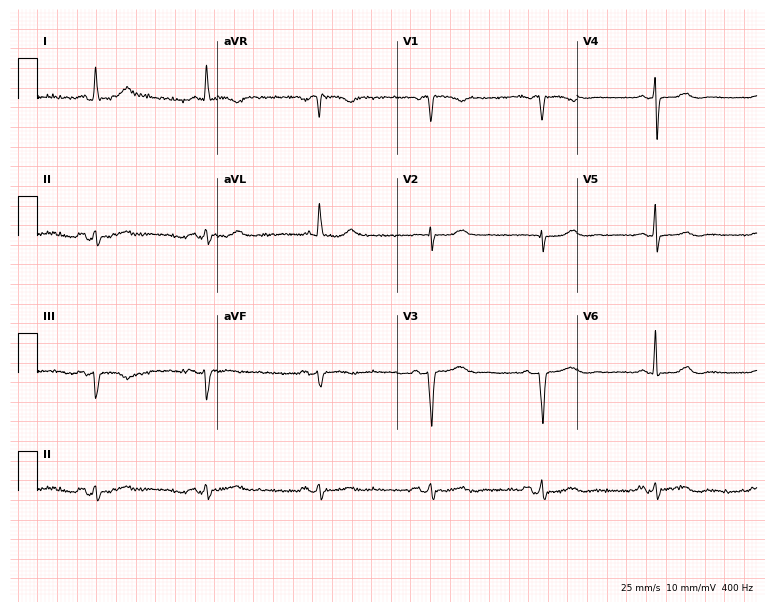
Resting 12-lead electrocardiogram. Patient: a 79-year-old female. None of these six findings is recorded: first-degree AV block, right bundle branch block (RBBB), left bundle branch block (LBBB), sinus bradycardia, atrial fibrillation (AF), sinus tachycardia.